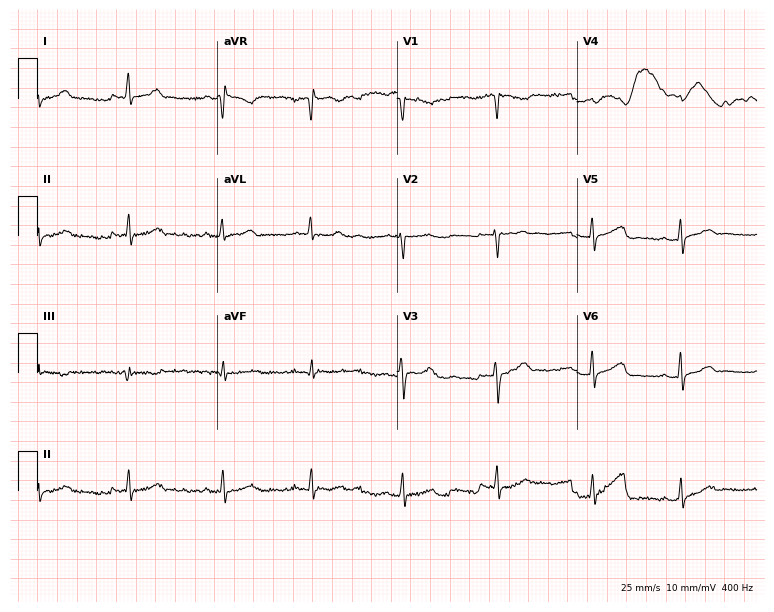
Resting 12-lead electrocardiogram. Patient: a 48-year-old female. Read as a normal ECG.